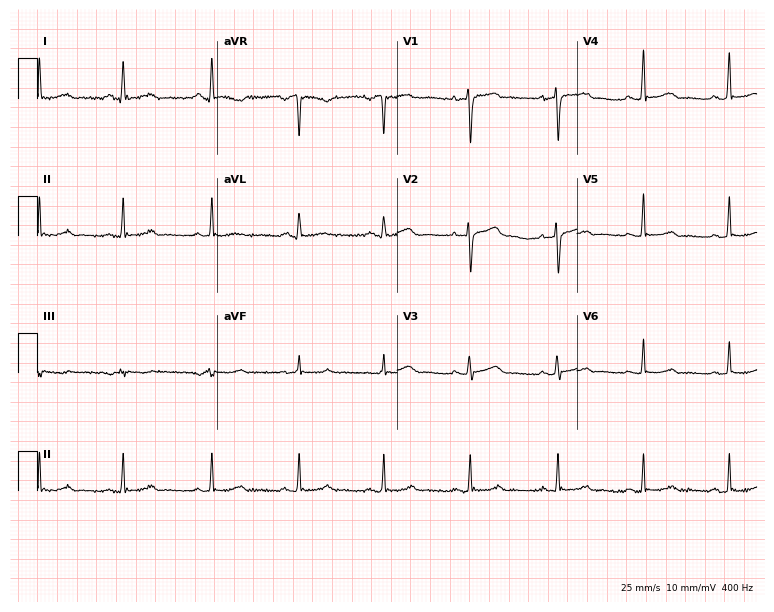
Resting 12-lead electrocardiogram. Patient: a male, 55 years old. Read as a normal ECG.